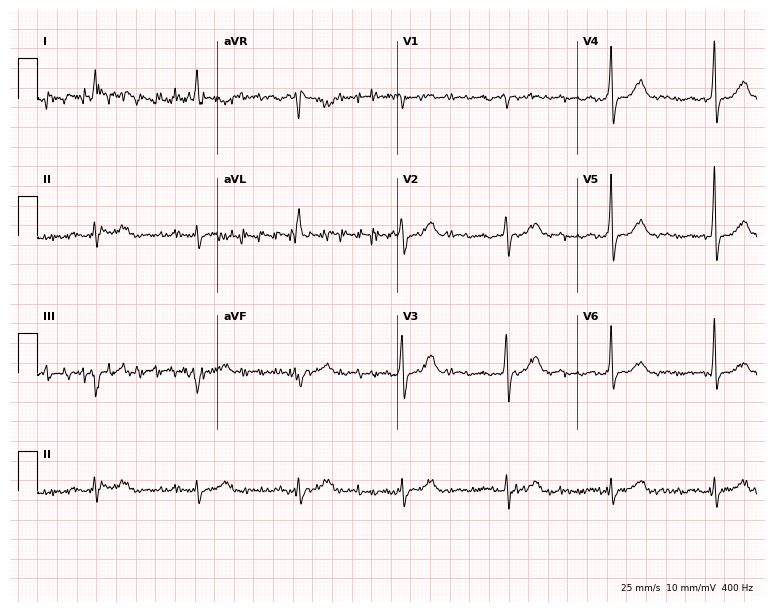
12-lead ECG from a male, 81 years old. Screened for six findings — first-degree AV block, right bundle branch block, left bundle branch block, sinus bradycardia, atrial fibrillation, sinus tachycardia — none is recorded. Other findings, if any, are not listed.